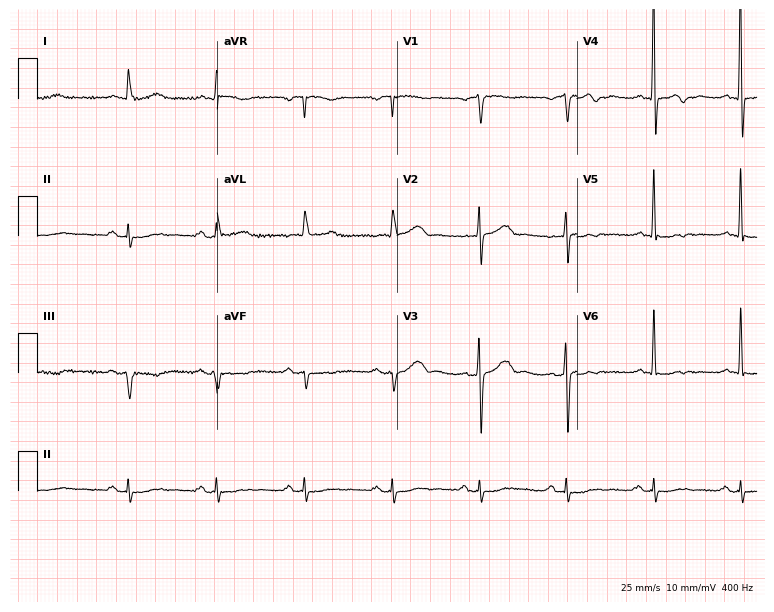
12-lead ECG from a man, 80 years old. No first-degree AV block, right bundle branch block (RBBB), left bundle branch block (LBBB), sinus bradycardia, atrial fibrillation (AF) or sinus tachycardia recorded for this tracing.